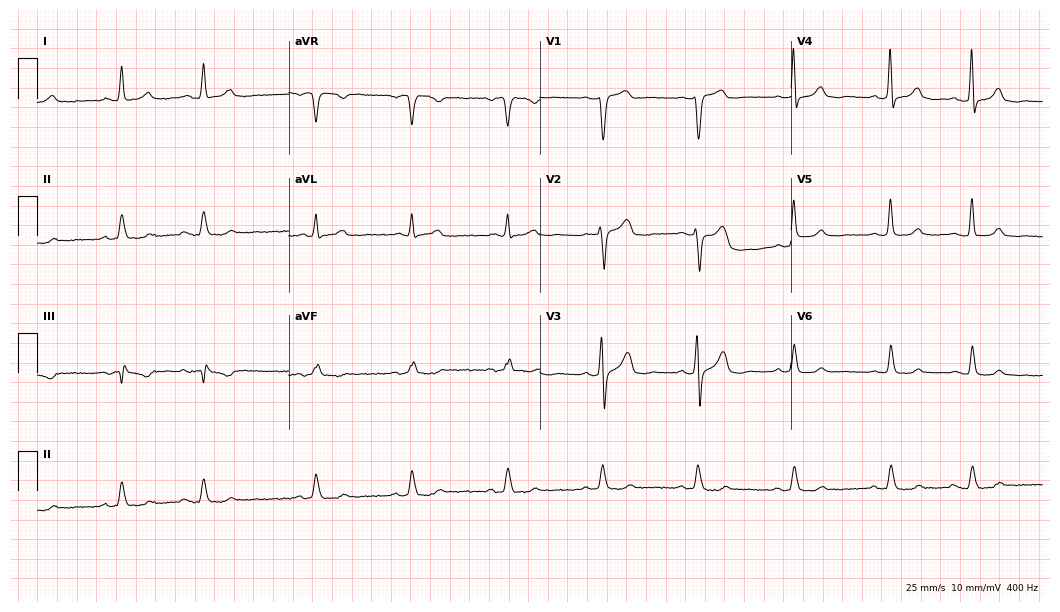
12-lead ECG from a 67-year-old female. Screened for six findings — first-degree AV block, right bundle branch block (RBBB), left bundle branch block (LBBB), sinus bradycardia, atrial fibrillation (AF), sinus tachycardia — none is recorded.